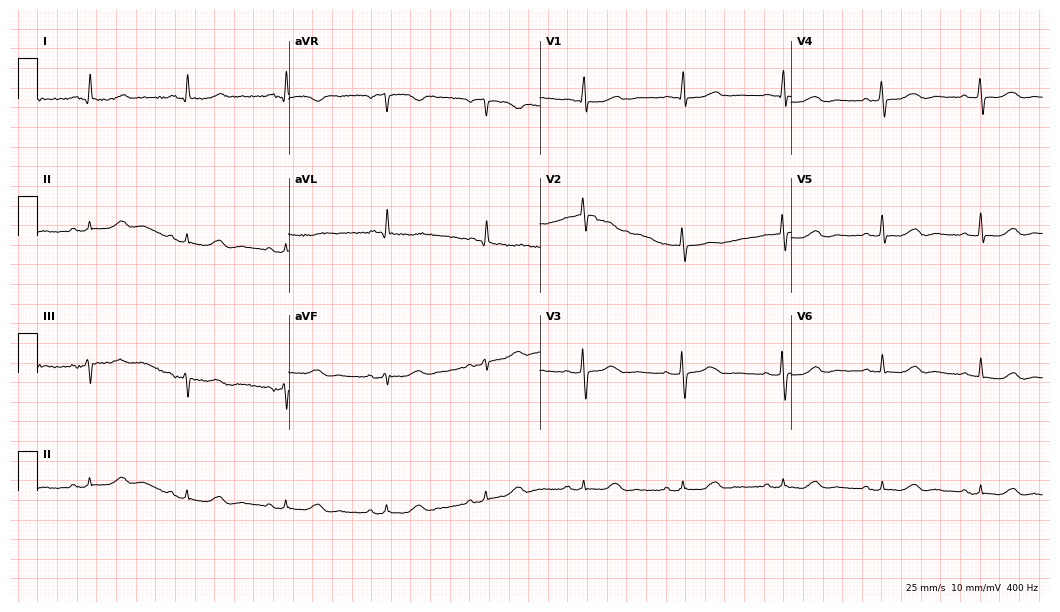
ECG — a 75-year-old female patient. Screened for six findings — first-degree AV block, right bundle branch block, left bundle branch block, sinus bradycardia, atrial fibrillation, sinus tachycardia — none is recorded.